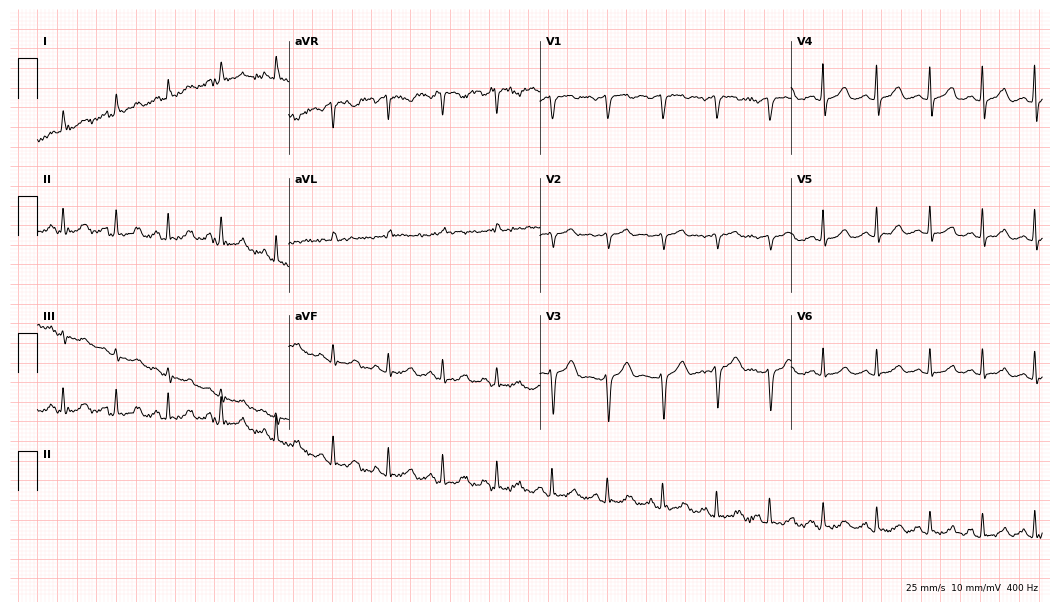
12-lead ECG (10.2-second recording at 400 Hz) from a 35-year-old female. Findings include sinus tachycardia (a sinus rate of 100 beats per minute or more).